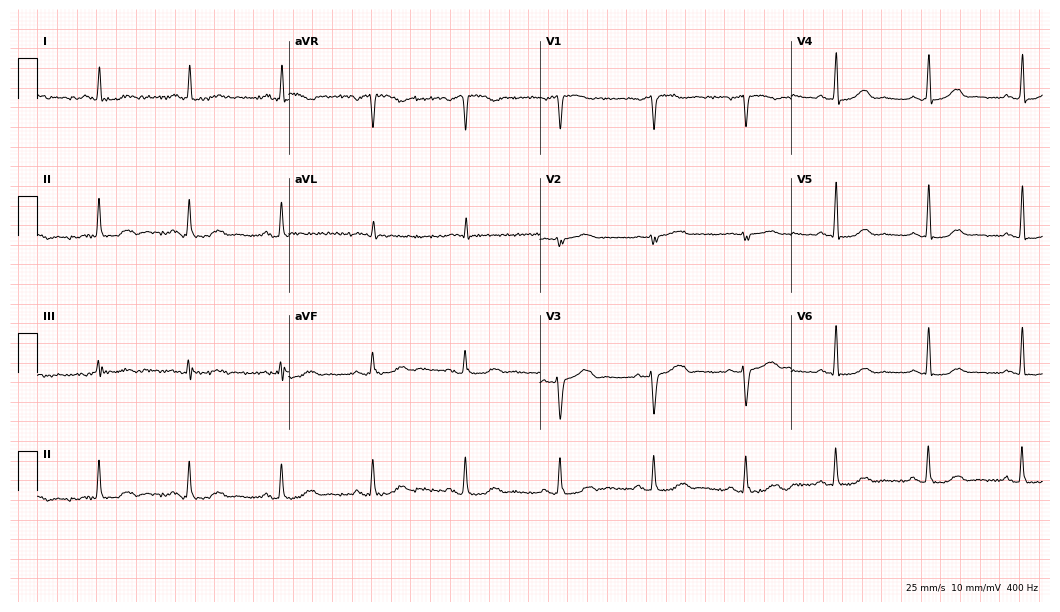
Electrocardiogram, a female patient, 53 years old. Of the six screened findings (first-degree AV block, right bundle branch block, left bundle branch block, sinus bradycardia, atrial fibrillation, sinus tachycardia), none is recorded.